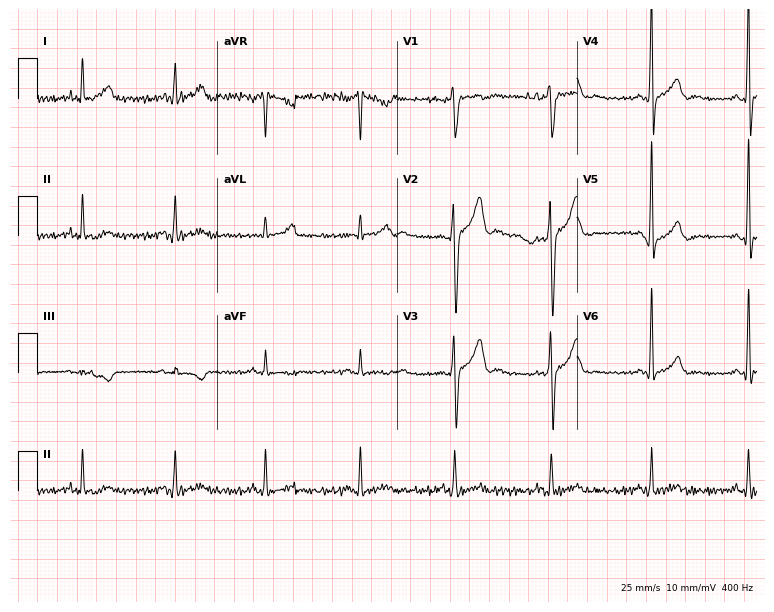
Standard 12-lead ECG recorded from a 31-year-old male patient. None of these six findings is recorded: first-degree AV block, right bundle branch block, left bundle branch block, sinus bradycardia, atrial fibrillation, sinus tachycardia.